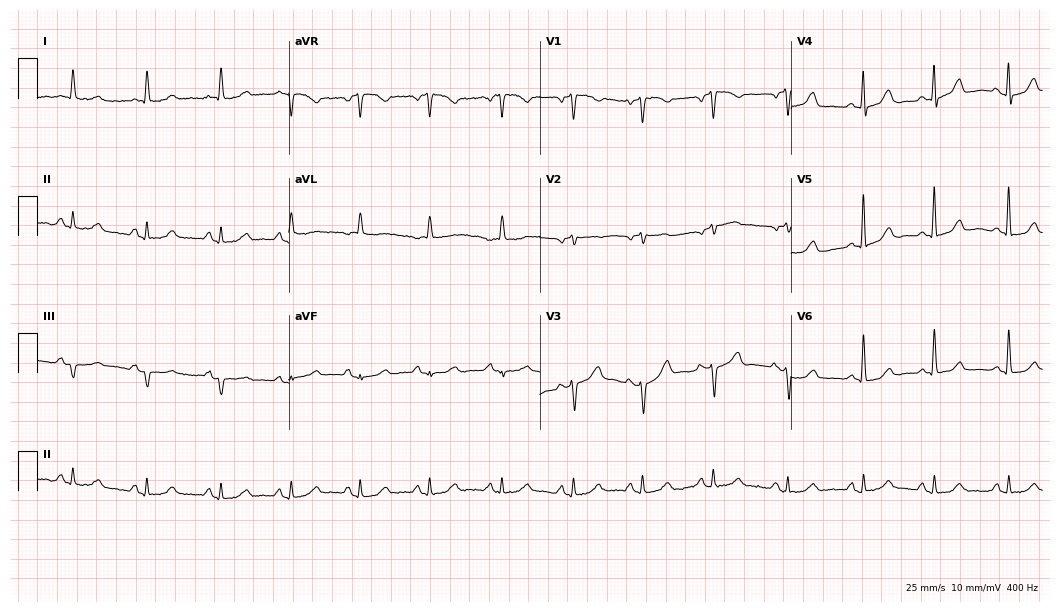
12-lead ECG from a 79-year-old female patient (10.2-second recording at 400 Hz). No first-degree AV block, right bundle branch block, left bundle branch block, sinus bradycardia, atrial fibrillation or sinus tachycardia recorded for this tracing. Other findings, if any, are not listed.